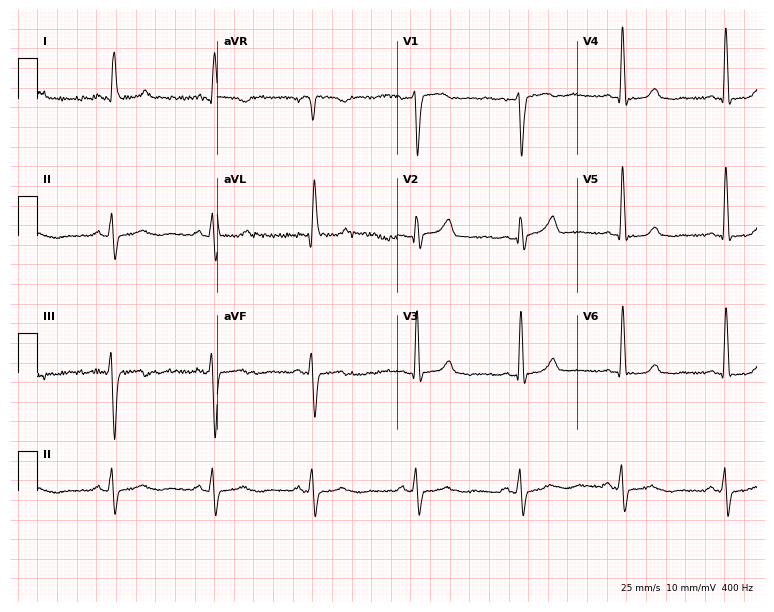
Electrocardiogram, a female patient, 57 years old. Of the six screened findings (first-degree AV block, right bundle branch block, left bundle branch block, sinus bradycardia, atrial fibrillation, sinus tachycardia), none is recorded.